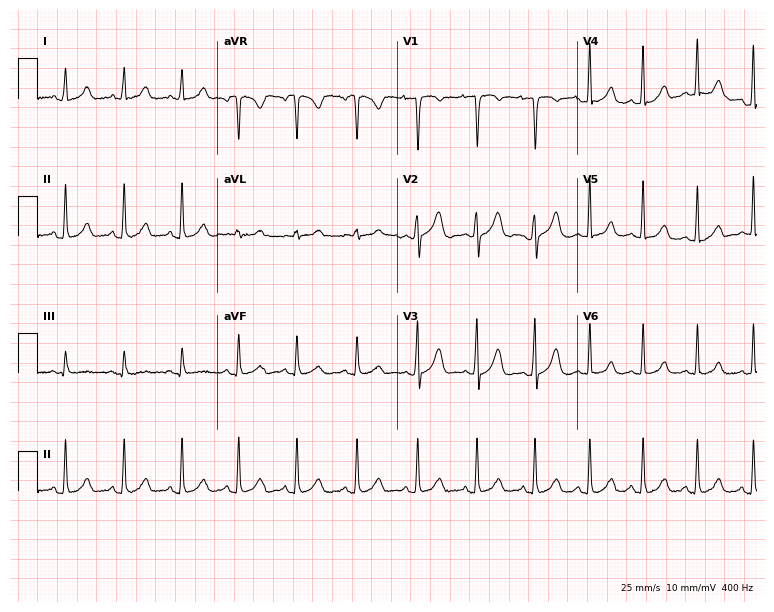
12-lead ECG from a 19-year-old female (7.3-second recording at 400 Hz). Shows sinus tachycardia (a sinus rate of 100 beats per minute or more).